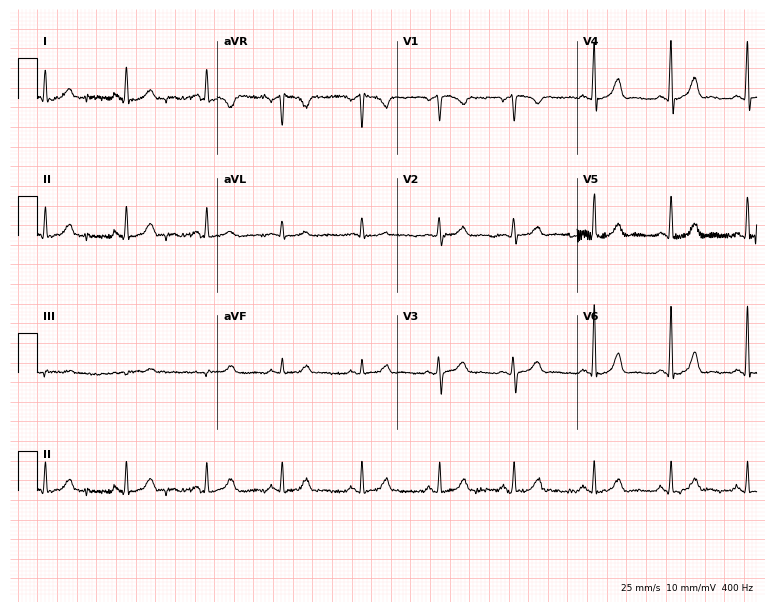
12-lead ECG from a female, 30 years old (7.3-second recording at 400 Hz). No first-degree AV block, right bundle branch block (RBBB), left bundle branch block (LBBB), sinus bradycardia, atrial fibrillation (AF) or sinus tachycardia recorded for this tracing.